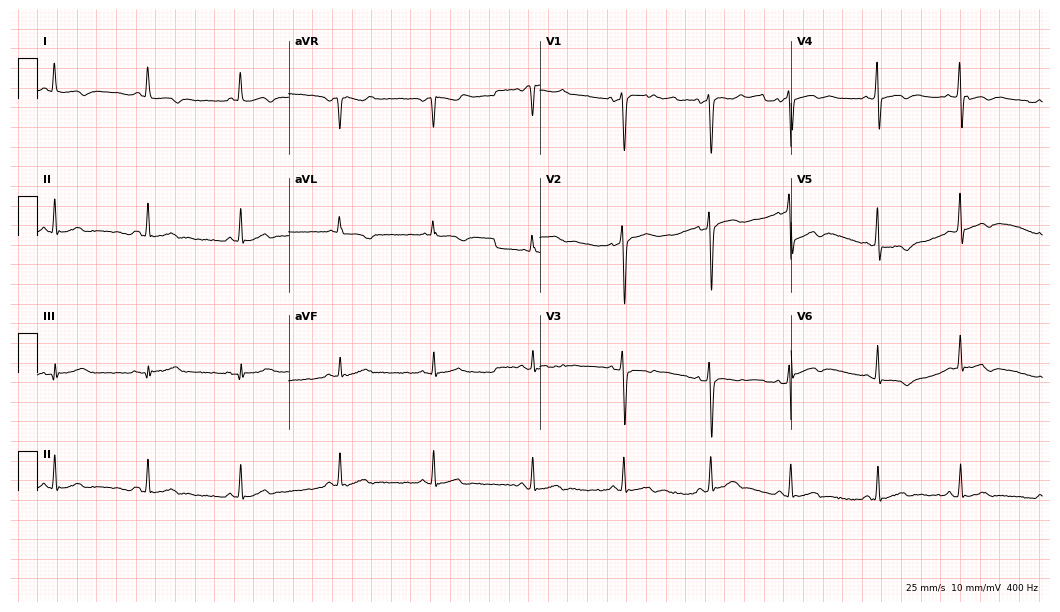
ECG (10.2-second recording at 400 Hz) — a 47-year-old woman. Labelled as a normal ECG.